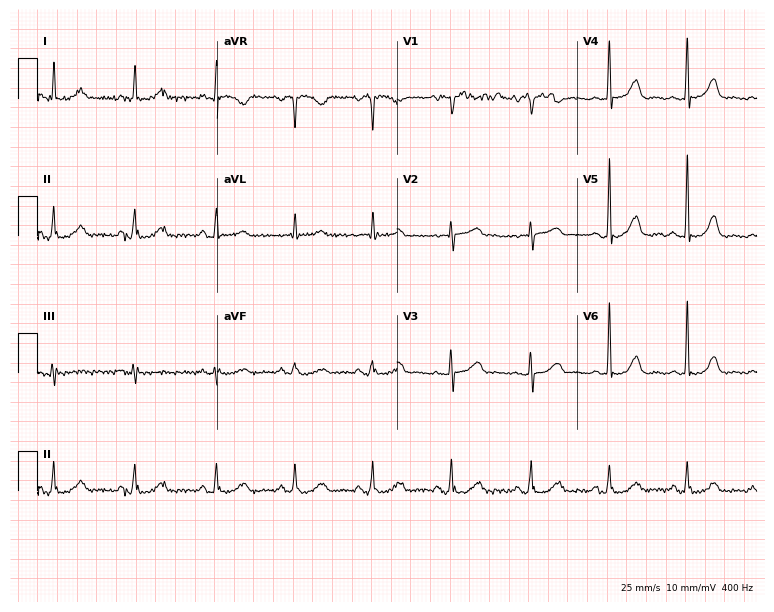
Electrocardiogram (7.3-second recording at 400 Hz), a woman, 83 years old. Overall reading on record: normal ECG.